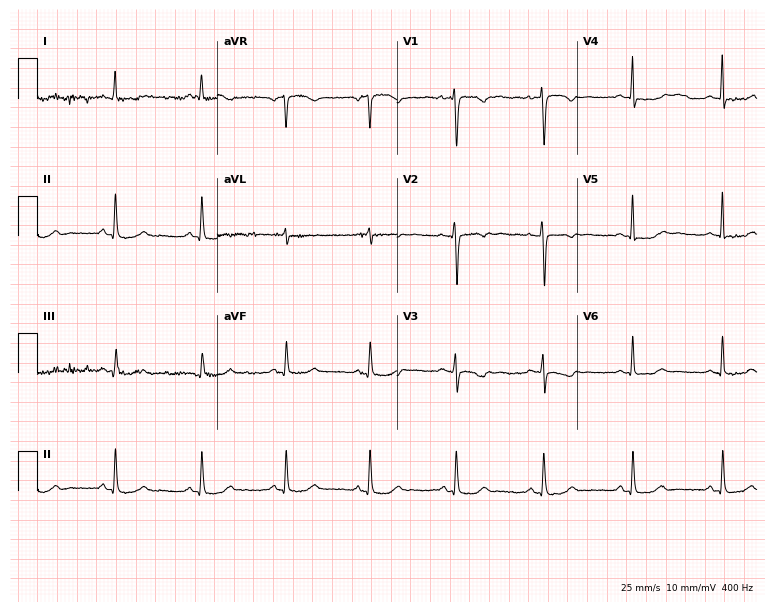
12-lead ECG from a 45-year-old woman. No first-degree AV block, right bundle branch block, left bundle branch block, sinus bradycardia, atrial fibrillation or sinus tachycardia recorded for this tracing.